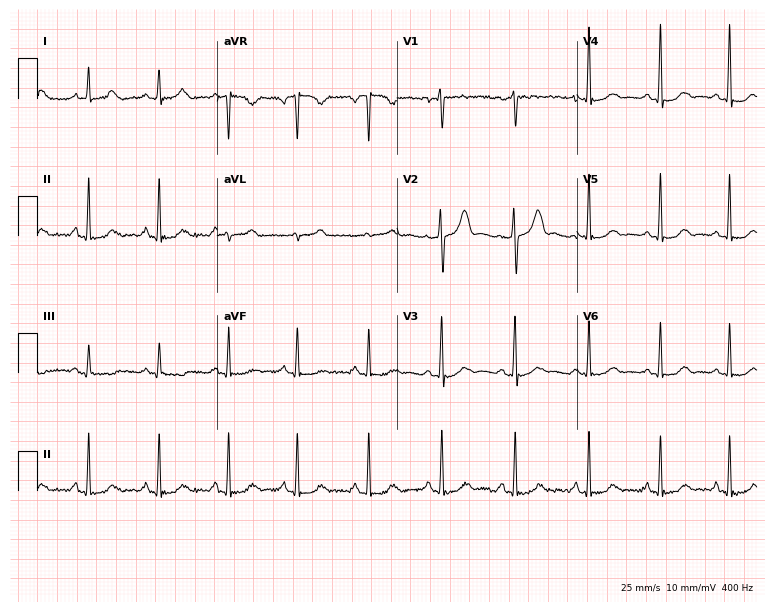
12-lead ECG from a 51-year-old female. Labelled as a normal ECG.